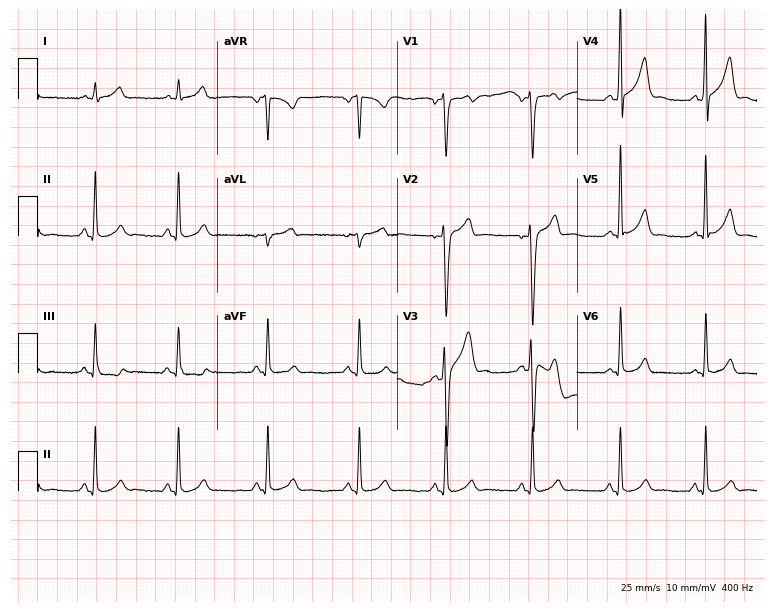
Electrocardiogram (7.3-second recording at 400 Hz), a 25-year-old male. Overall reading on record: normal ECG.